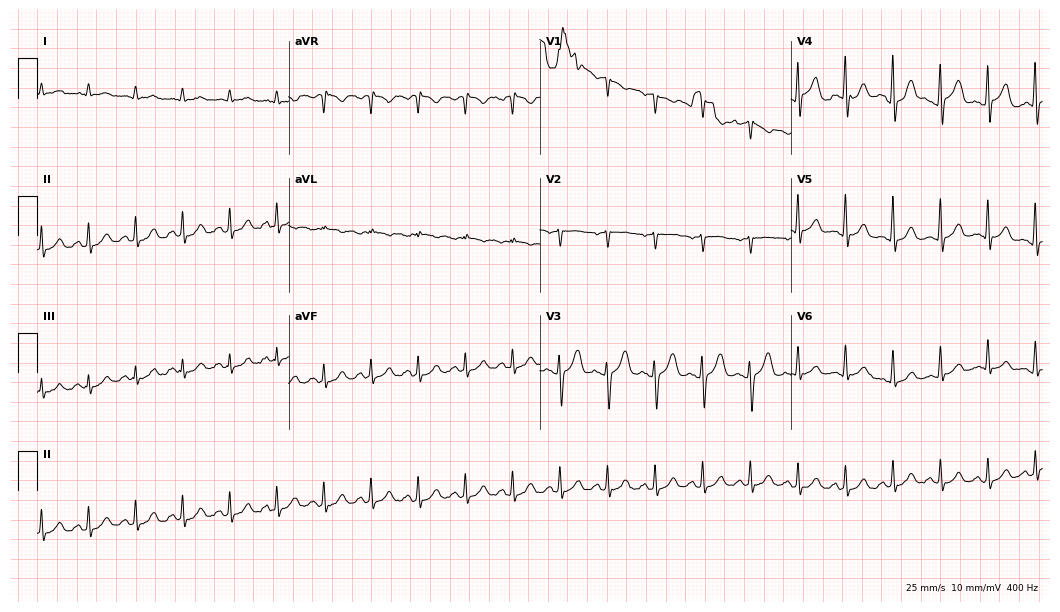
Electrocardiogram, a male patient, 40 years old. Interpretation includes sinus tachycardia (a sinus rate of 100 beats per minute or more).